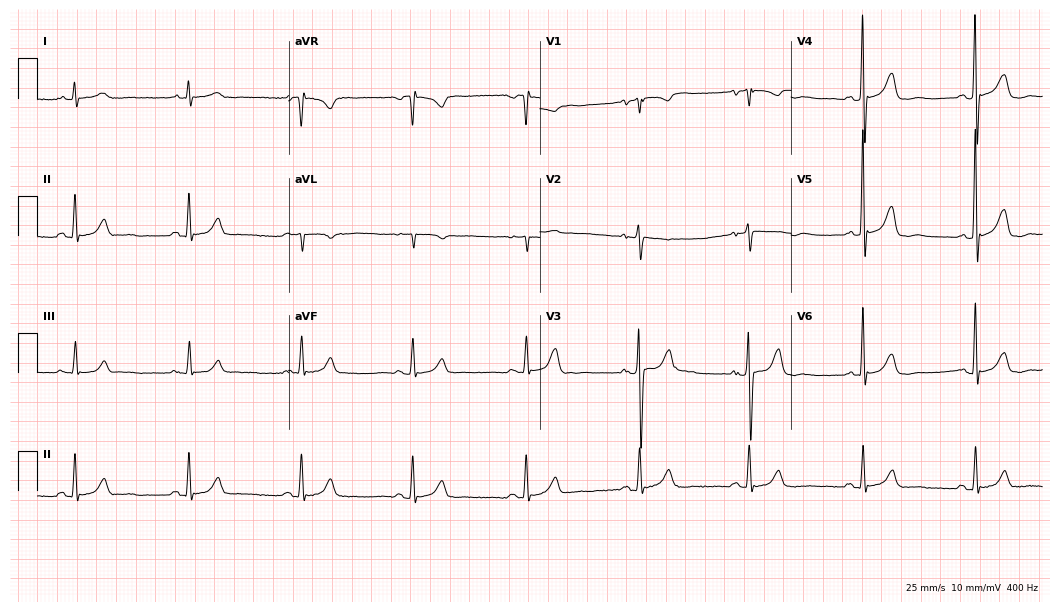
Electrocardiogram (10.2-second recording at 400 Hz), a male, 66 years old. Overall reading on record: normal ECG.